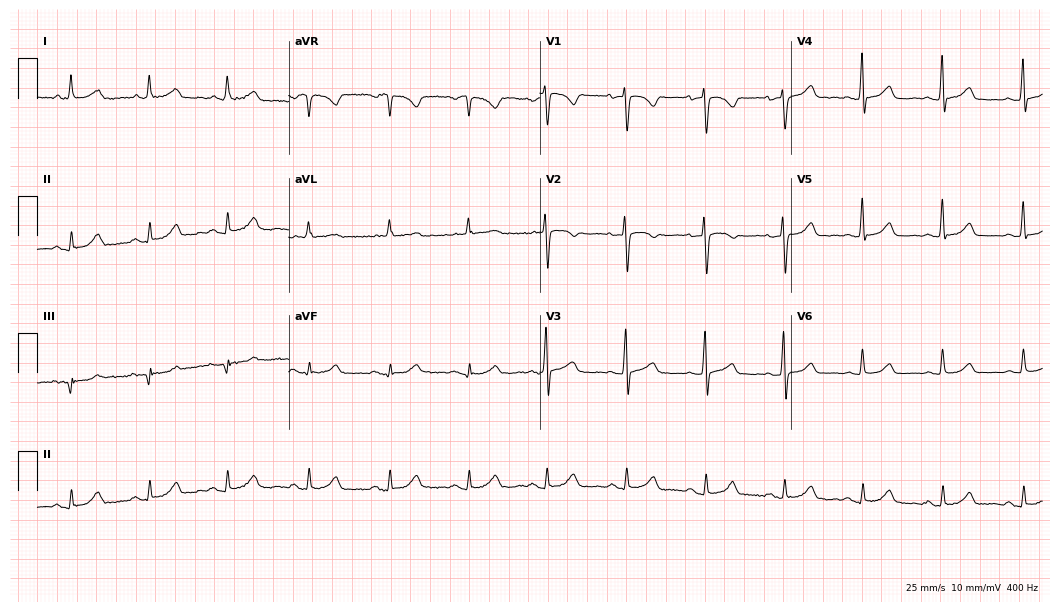
ECG — a woman, 70 years old. Labelled as a normal ECG.